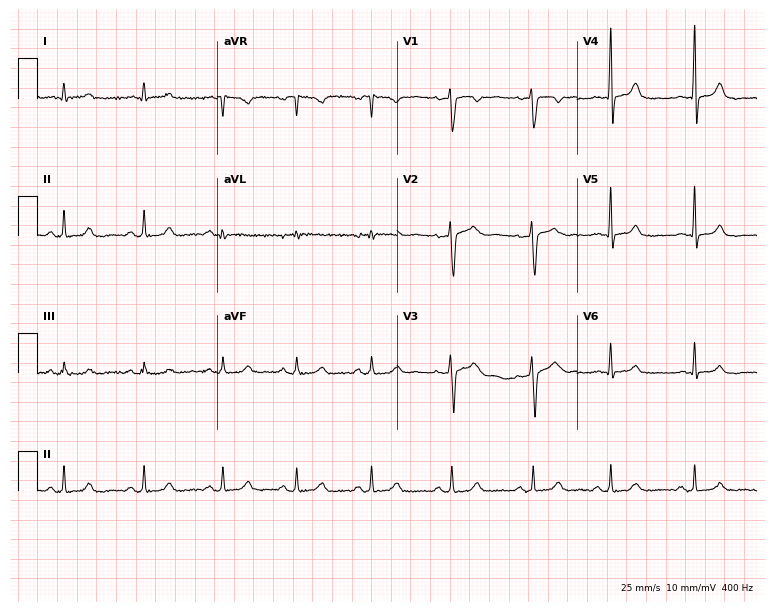
ECG — a female patient, 17 years old. Labelled as a normal ECG.